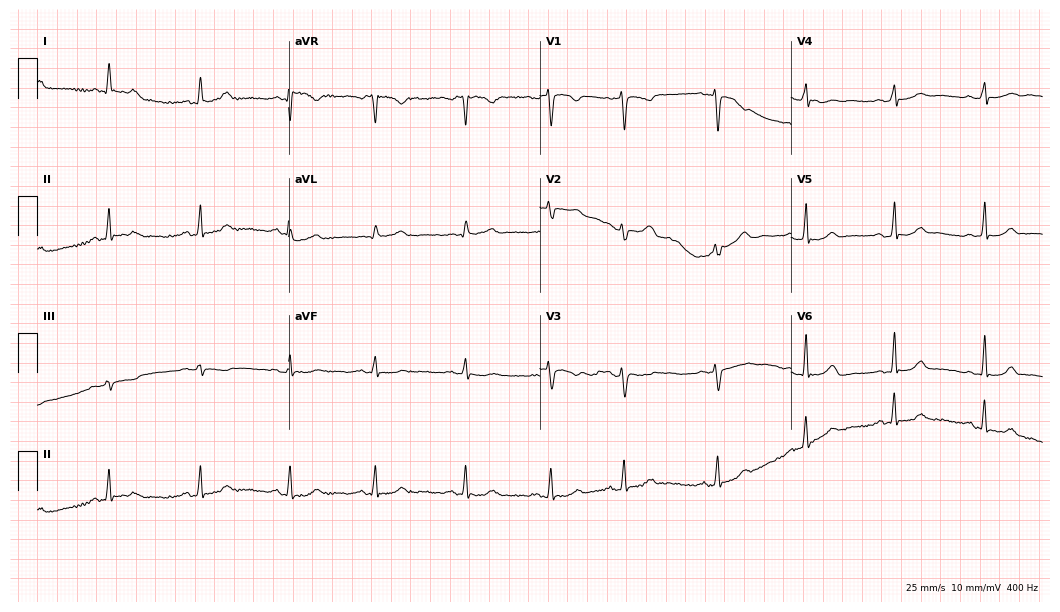
Resting 12-lead electrocardiogram (10.2-second recording at 400 Hz). Patient: a woman, 30 years old. None of these six findings is recorded: first-degree AV block, right bundle branch block, left bundle branch block, sinus bradycardia, atrial fibrillation, sinus tachycardia.